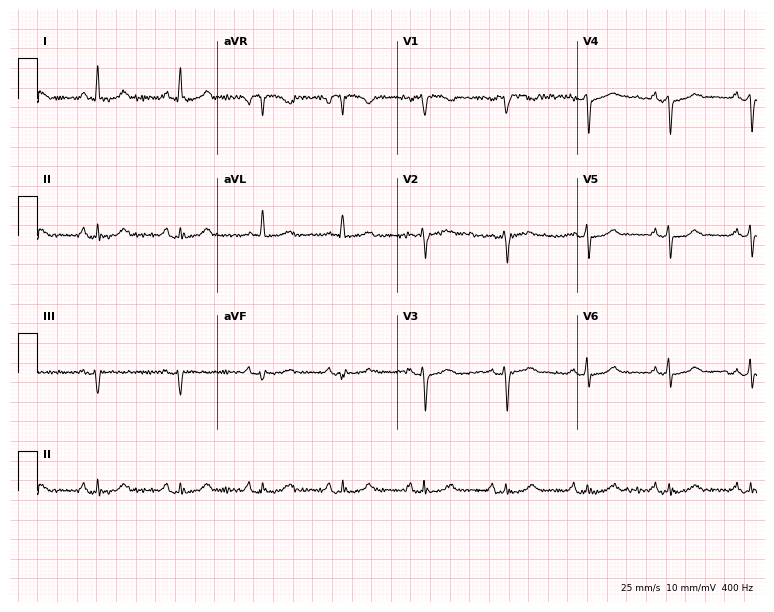
12-lead ECG from a woman, 68 years old. Labelled as a normal ECG.